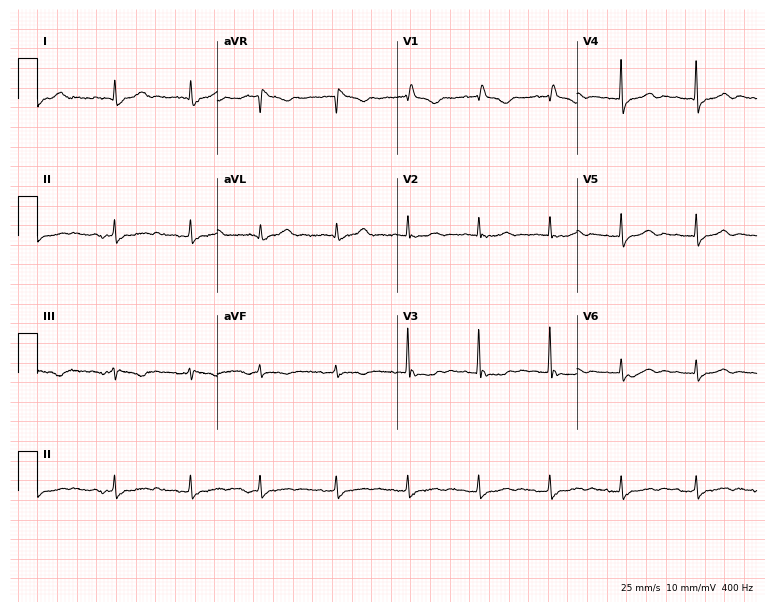
12-lead ECG (7.3-second recording at 400 Hz) from a female, 84 years old. Screened for six findings — first-degree AV block, right bundle branch block, left bundle branch block, sinus bradycardia, atrial fibrillation, sinus tachycardia — none is recorded.